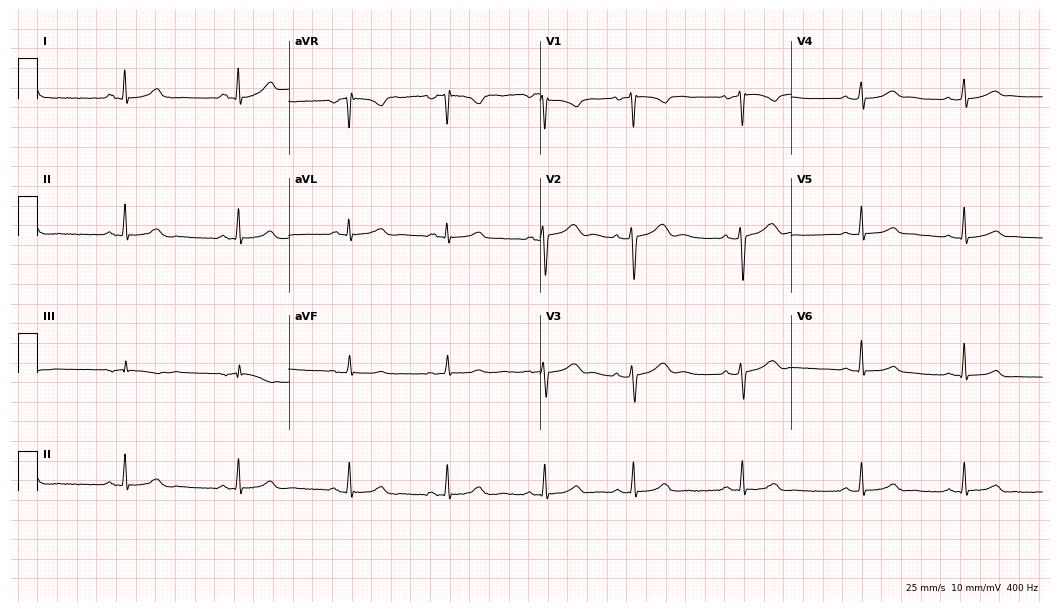
ECG (10.2-second recording at 400 Hz) — a 24-year-old woman. Labelled as a normal ECG.